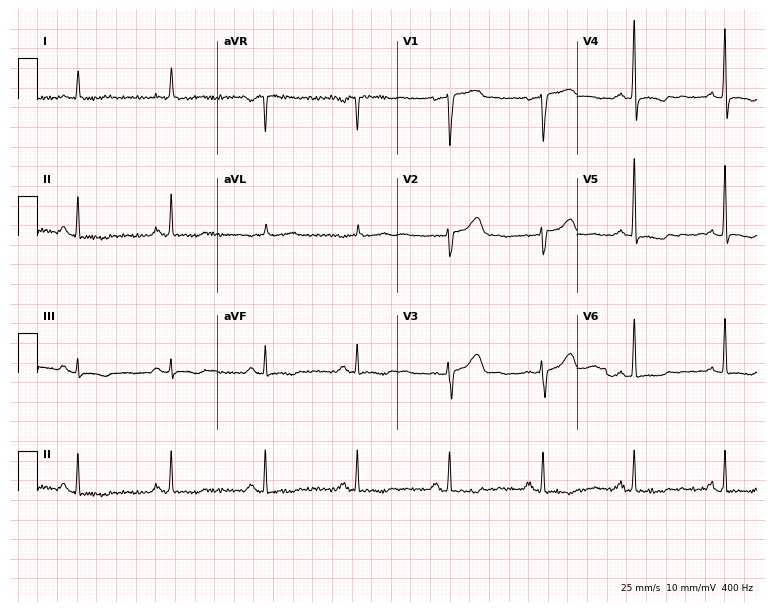
12-lead ECG from a woman, 50 years old. Labelled as a normal ECG.